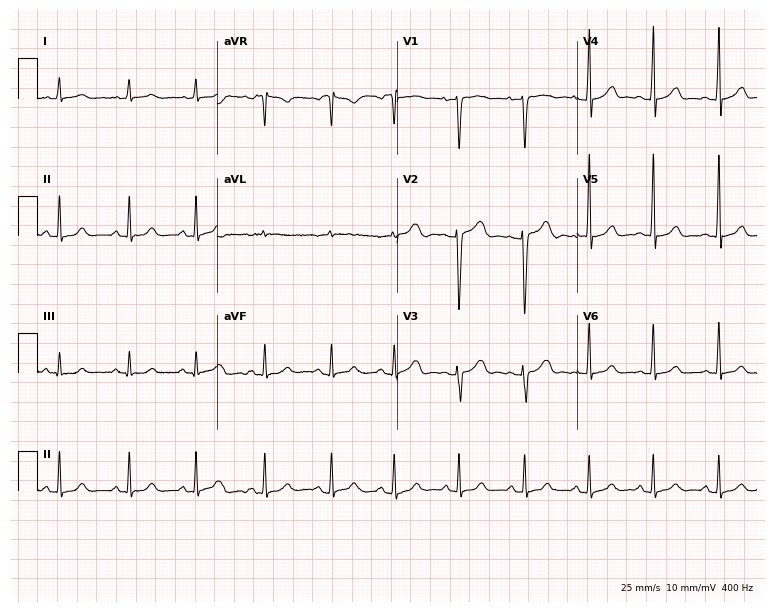
12-lead ECG from a female patient, 17 years old. Screened for six findings — first-degree AV block, right bundle branch block (RBBB), left bundle branch block (LBBB), sinus bradycardia, atrial fibrillation (AF), sinus tachycardia — none is recorded.